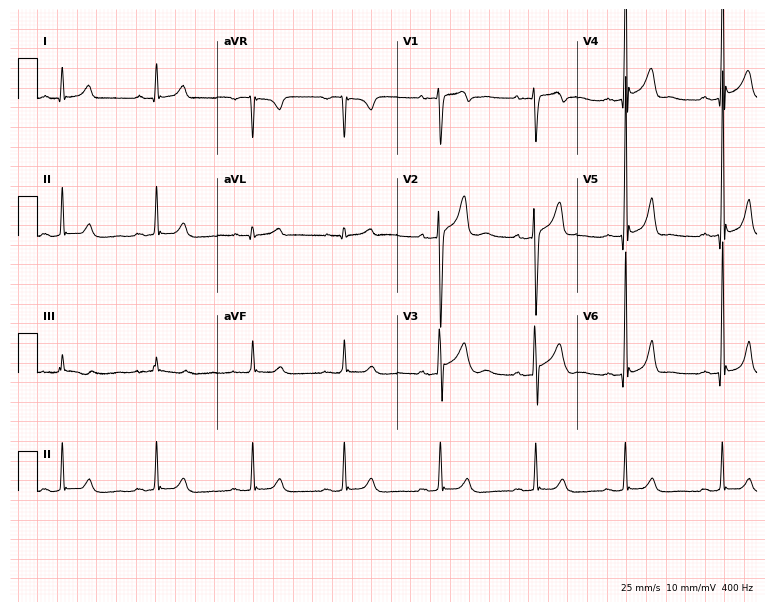
Standard 12-lead ECG recorded from an 18-year-old male. None of these six findings is recorded: first-degree AV block, right bundle branch block, left bundle branch block, sinus bradycardia, atrial fibrillation, sinus tachycardia. Only these six findings were labelled.